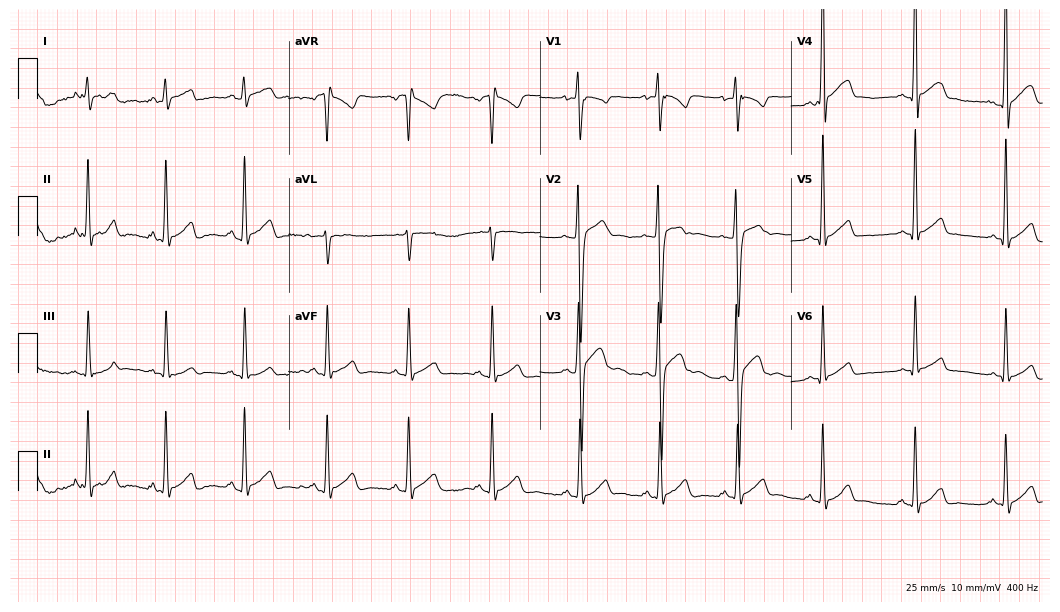
ECG (10.2-second recording at 400 Hz) — a 17-year-old man. Labelled as a normal ECG.